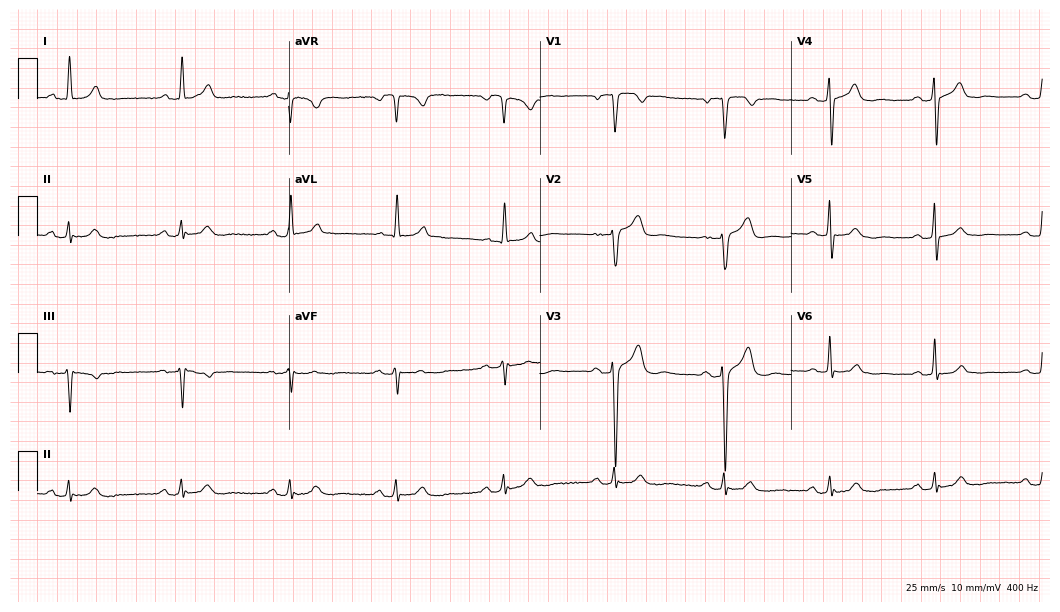
ECG — a man, 64 years old. Labelled as a normal ECG.